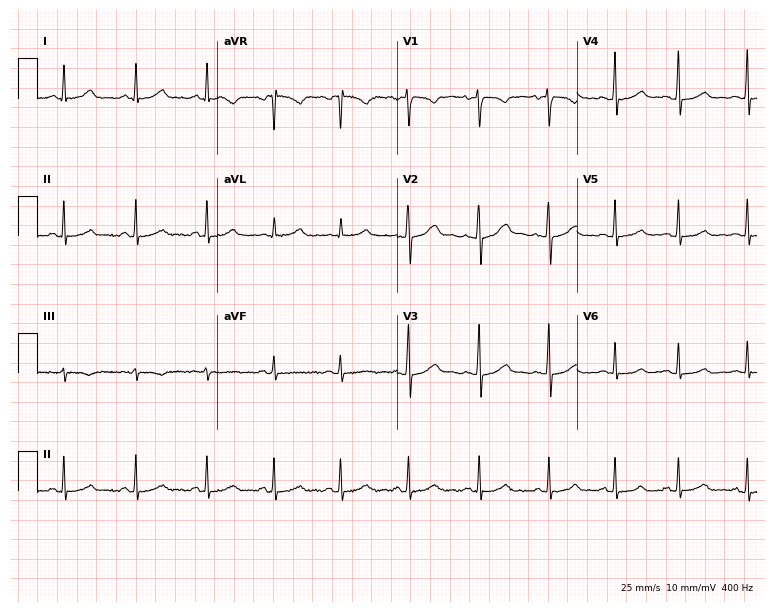
ECG — a 36-year-old female. Labelled as a normal ECG.